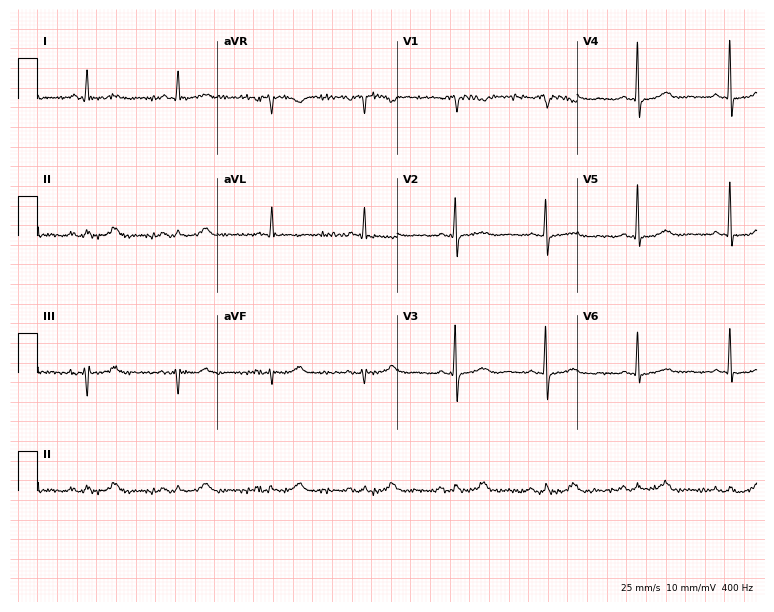
12-lead ECG (7.3-second recording at 400 Hz) from a woman, 79 years old. Screened for six findings — first-degree AV block, right bundle branch block (RBBB), left bundle branch block (LBBB), sinus bradycardia, atrial fibrillation (AF), sinus tachycardia — none is recorded. Findings outside these six are not listed.